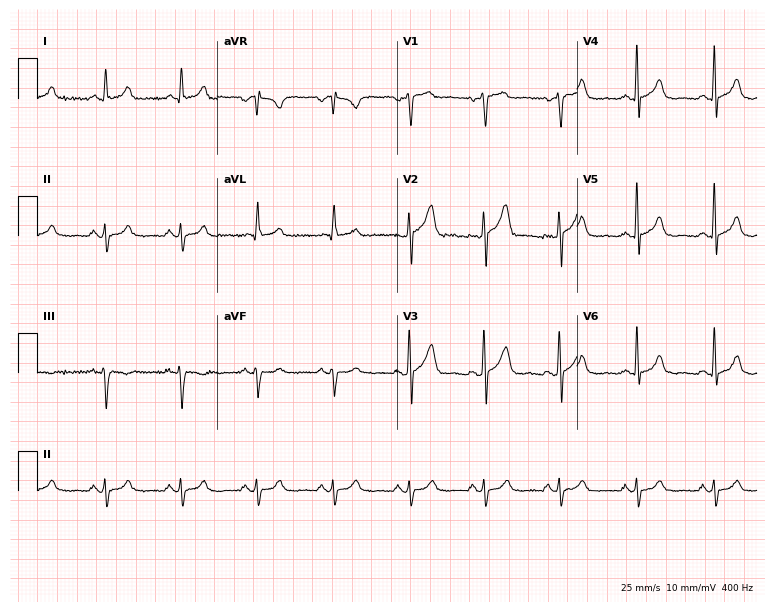
Standard 12-lead ECG recorded from a 57-year-old man. None of these six findings is recorded: first-degree AV block, right bundle branch block, left bundle branch block, sinus bradycardia, atrial fibrillation, sinus tachycardia.